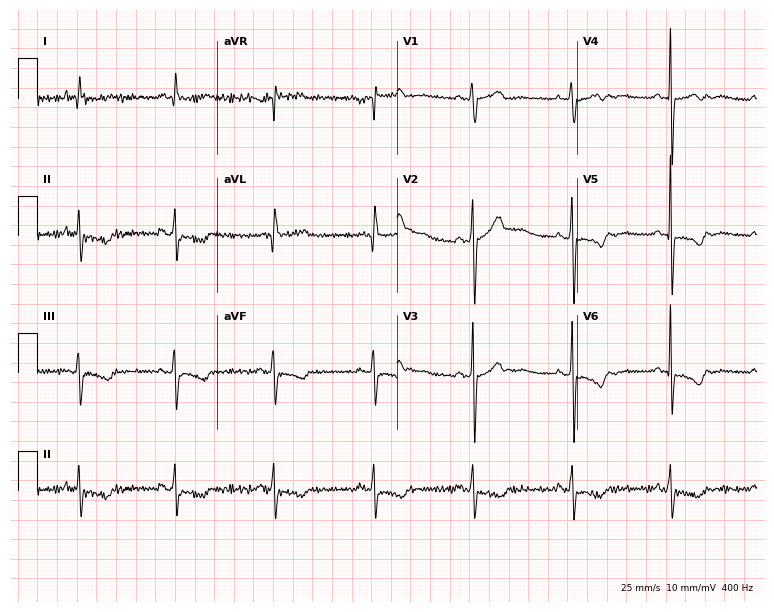
Standard 12-lead ECG recorded from a 63-year-old male. None of these six findings is recorded: first-degree AV block, right bundle branch block (RBBB), left bundle branch block (LBBB), sinus bradycardia, atrial fibrillation (AF), sinus tachycardia.